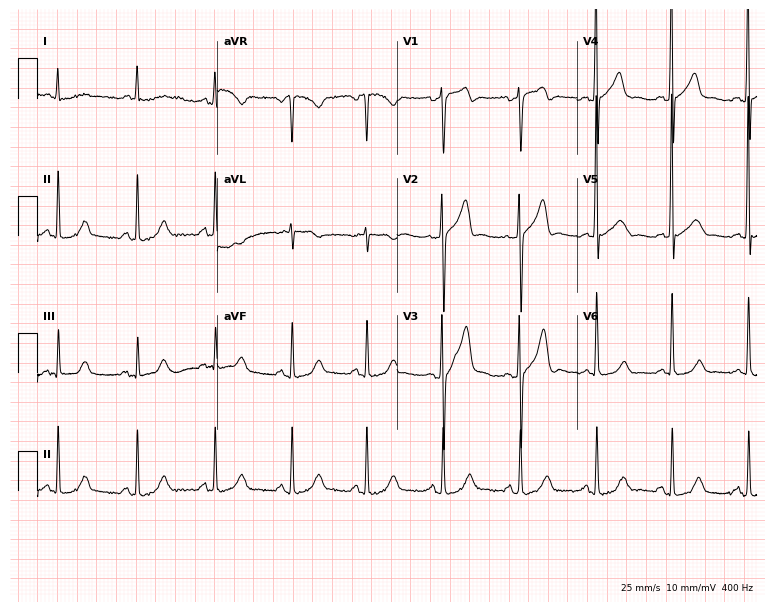
Electrocardiogram (7.3-second recording at 400 Hz), a 68-year-old man. Overall reading on record: normal ECG.